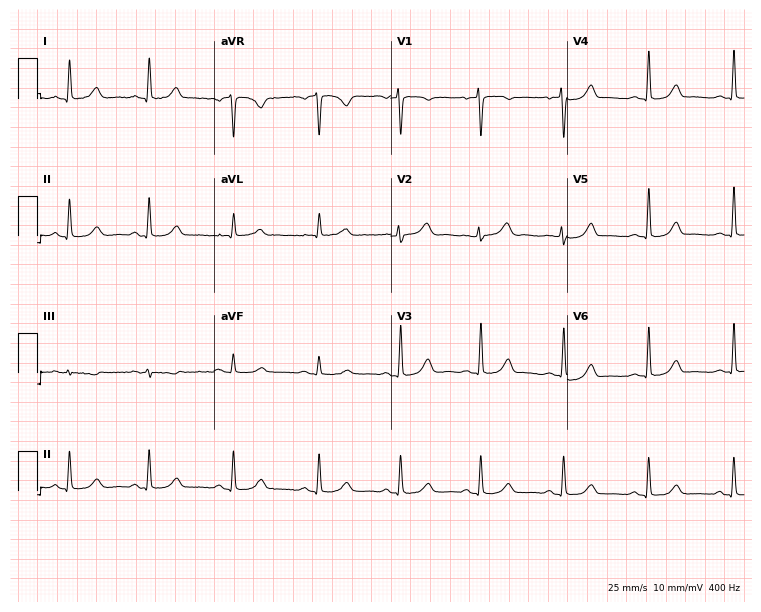
Electrocardiogram (7.2-second recording at 400 Hz), a woman, 56 years old. Overall reading on record: normal ECG.